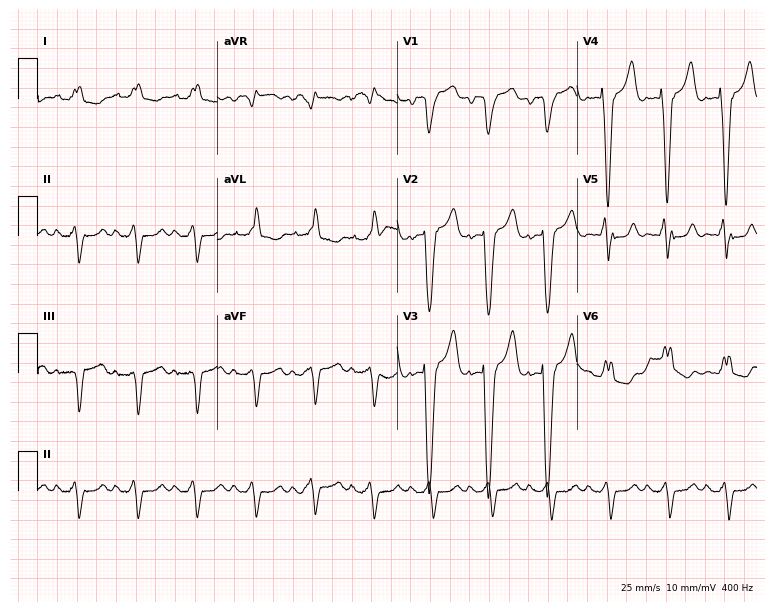
12-lead ECG from a woman, 35 years old (7.3-second recording at 400 Hz). No first-degree AV block, right bundle branch block (RBBB), left bundle branch block (LBBB), sinus bradycardia, atrial fibrillation (AF) or sinus tachycardia recorded for this tracing.